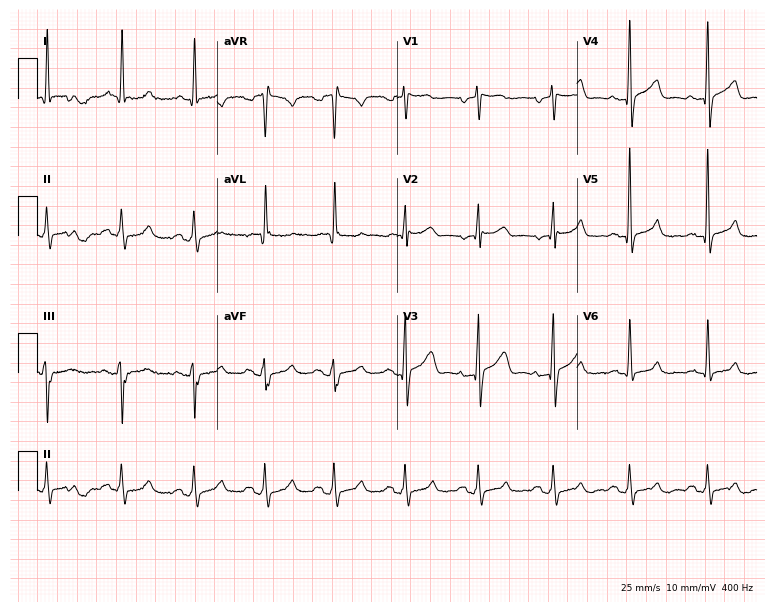
ECG (7.3-second recording at 400 Hz) — a 65-year-old man. Screened for six findings — first-degree AV block, right bundle branch block, left bundle branch block, sinus bradycardia, atrial fibrillation, sinus tachycardia — none is recorded.